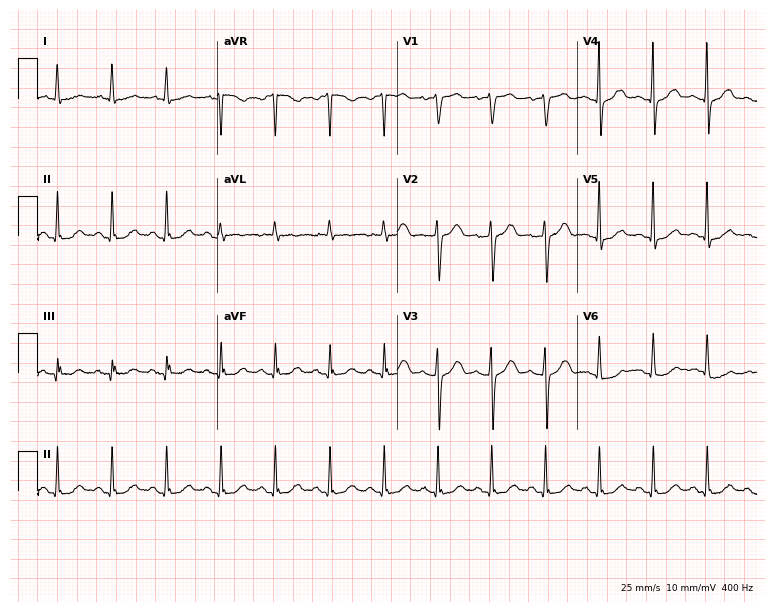
Standard 12-lead ECG recorded from a female, 77 years old (7.3-second recording at 400 Hz). The tracing shows sinus tachycardia (a sinus rate of 100 beats per minute or more).